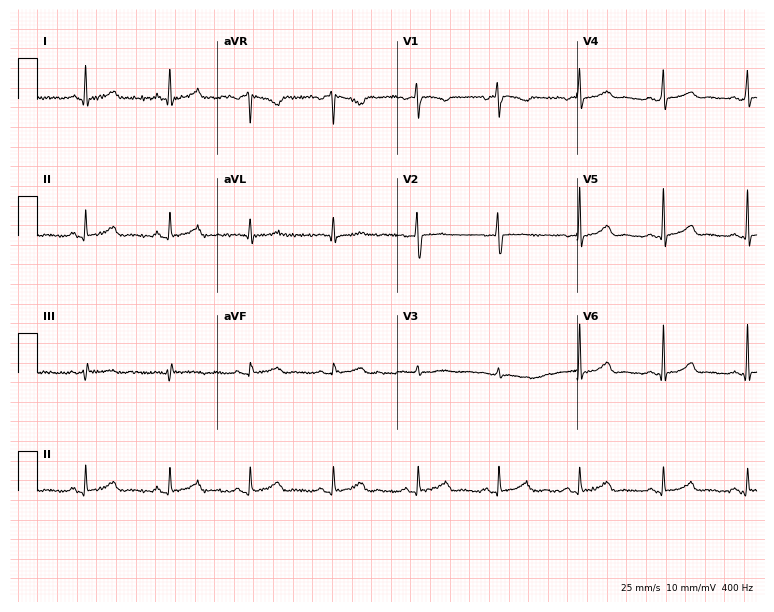
12-lead ECG from a 58-year-old female. Recorded interpretation: within normal limits.